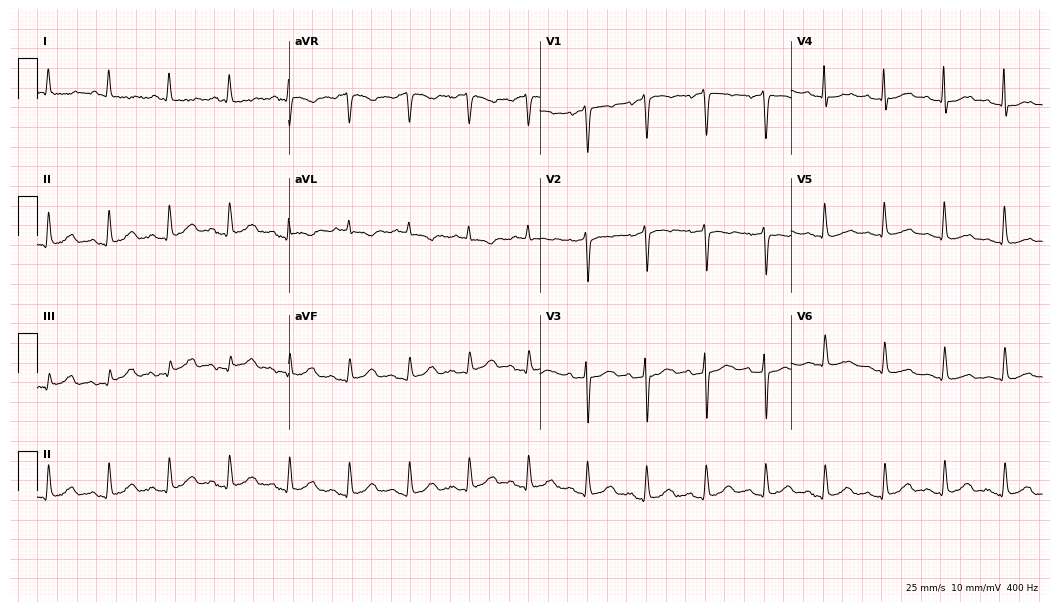
Standard 12-lead ECG recorded from a woman, 70 years old. None of these six findings is recorded: first-degree AV block, right bundle branch block (RBBB), left bundle branch block (LBBB), sinus bradycardia, atrial fibrillation (AF), sinus tachycardia.